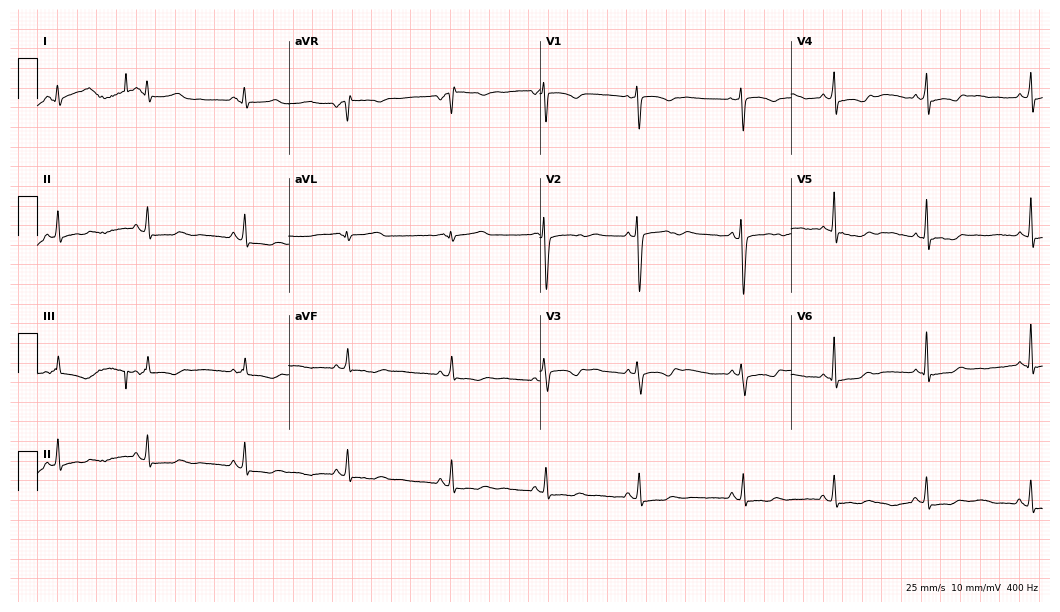
12-lead ECG from a 30-year-old female patient. Screened for six findings — first-degree AV block, right bundle branch block, left bundle branch block, sinus bradycardia, atrial fibrillation, sinus tachycardia — none is recorded. Findings outside these six are not listed.